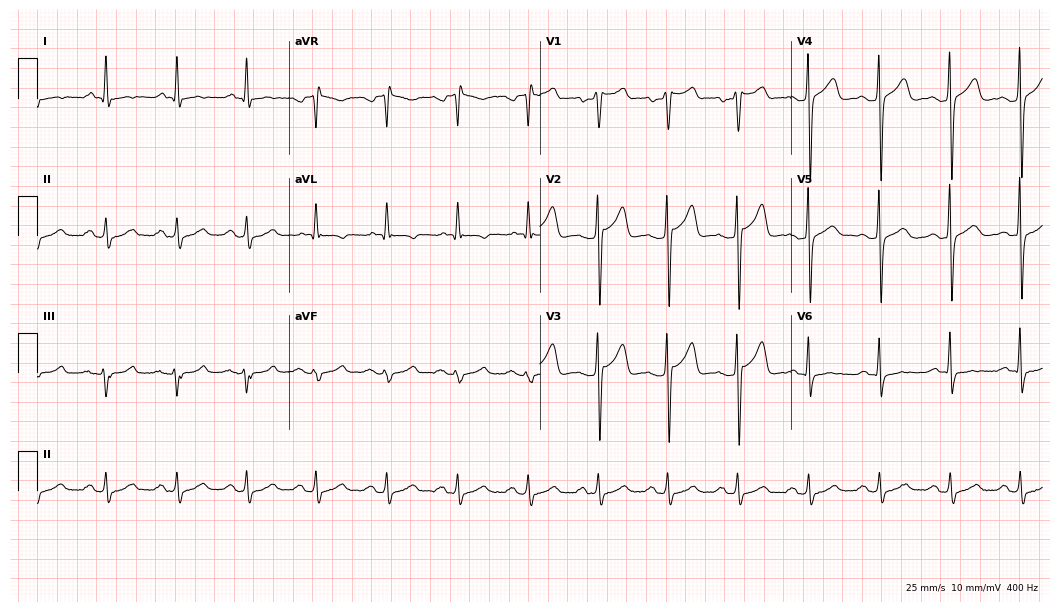
12-lead ECG from a man, 44 years old (10.2-second recording at 400 Hz). Recorded interpretation: within normal limits.